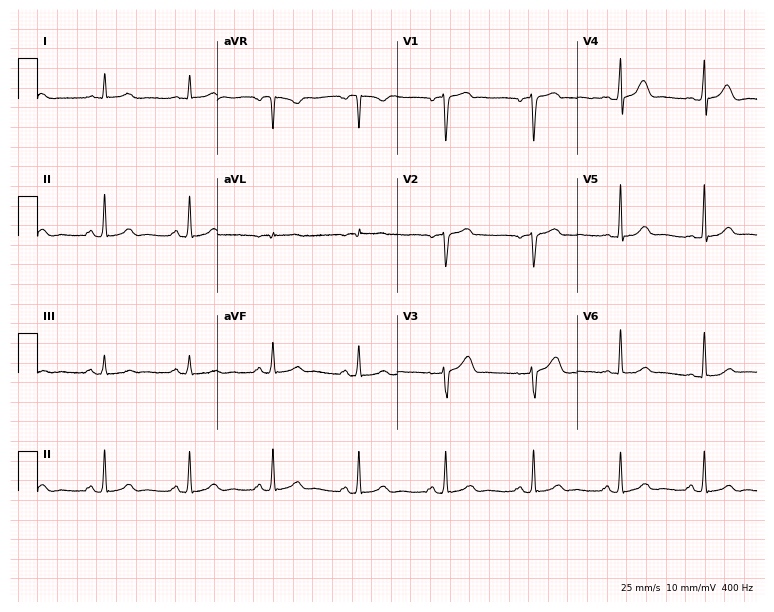
12-lead ECG from a male, 46 years old (7.3-second recording at 400 Hz). Recorded interpretation: within normal limits.